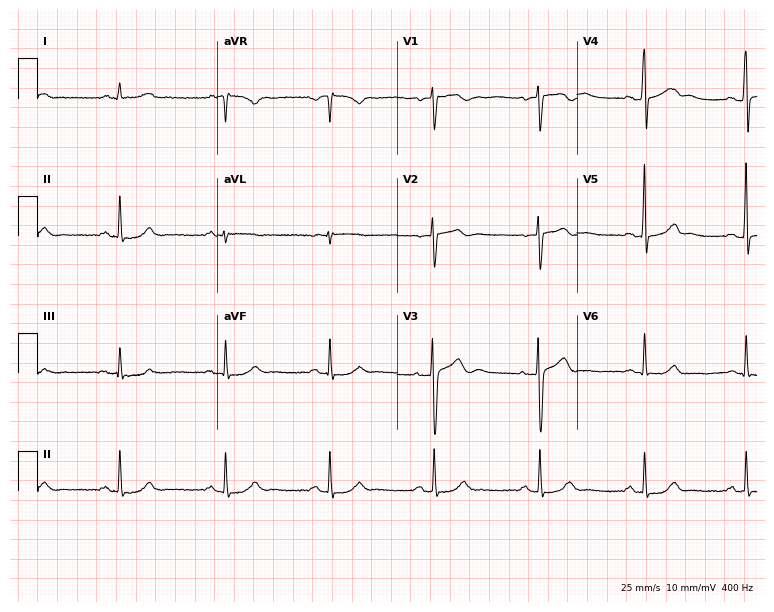
Resting 12-lead electrocardiogram. Patient: a 51-year-old male. Read as a normal ECG.